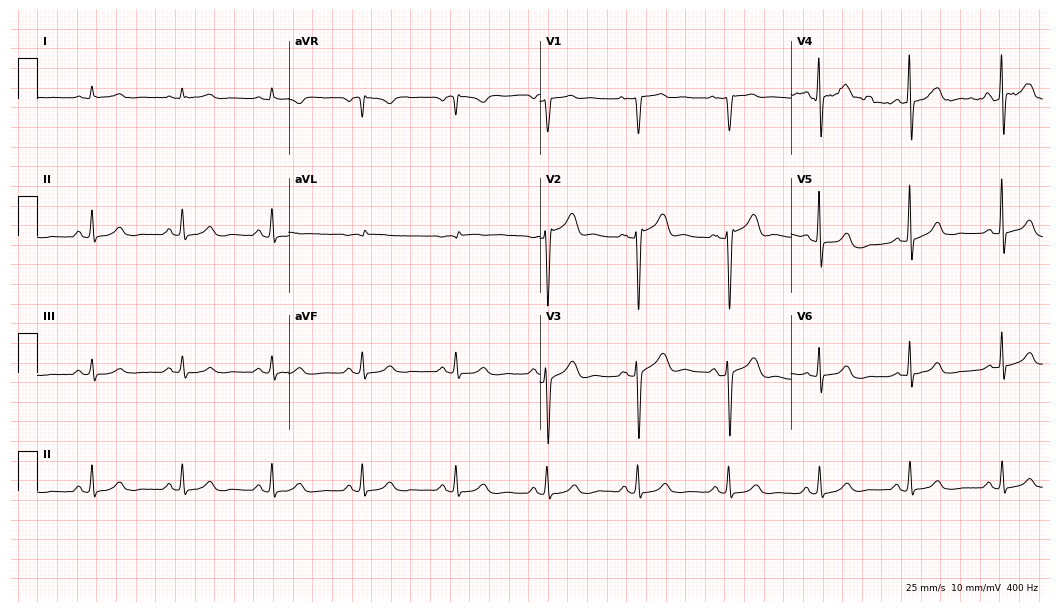
Standard 12-lead ECG recorded from a male patient, 78 years old. Read as a normal ECG.